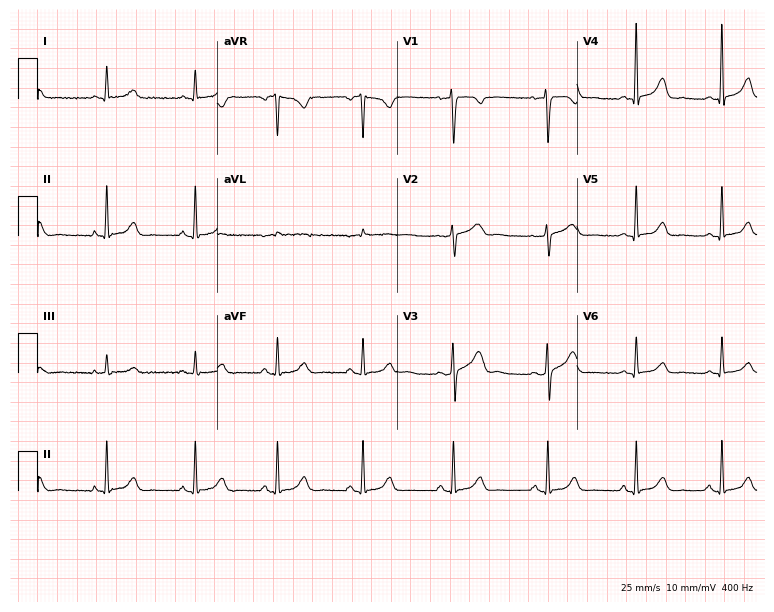
Standard 12-lead ECG recorded from a 38-year-old female. Read as a normal ECG.